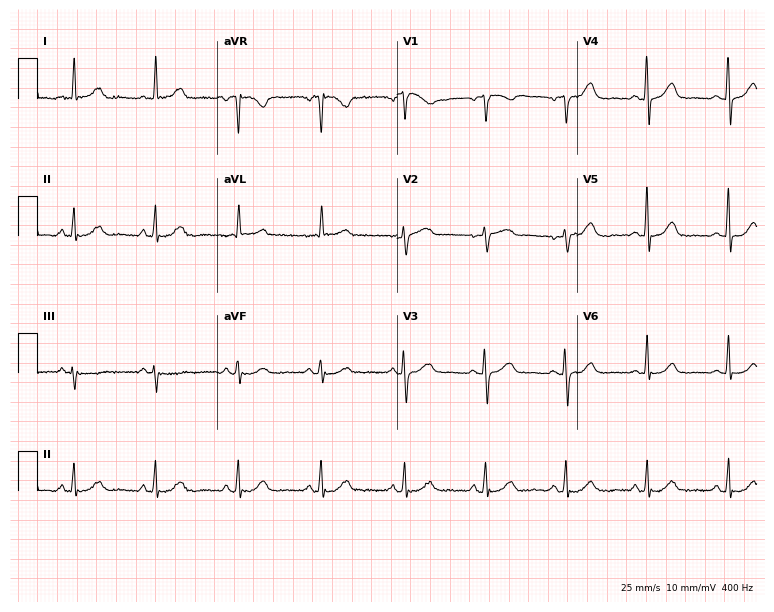
Electrocardiogram (7.3-second recording at 400 Hz), a 62-year-old woman. Overall reading on record: normal ECG.